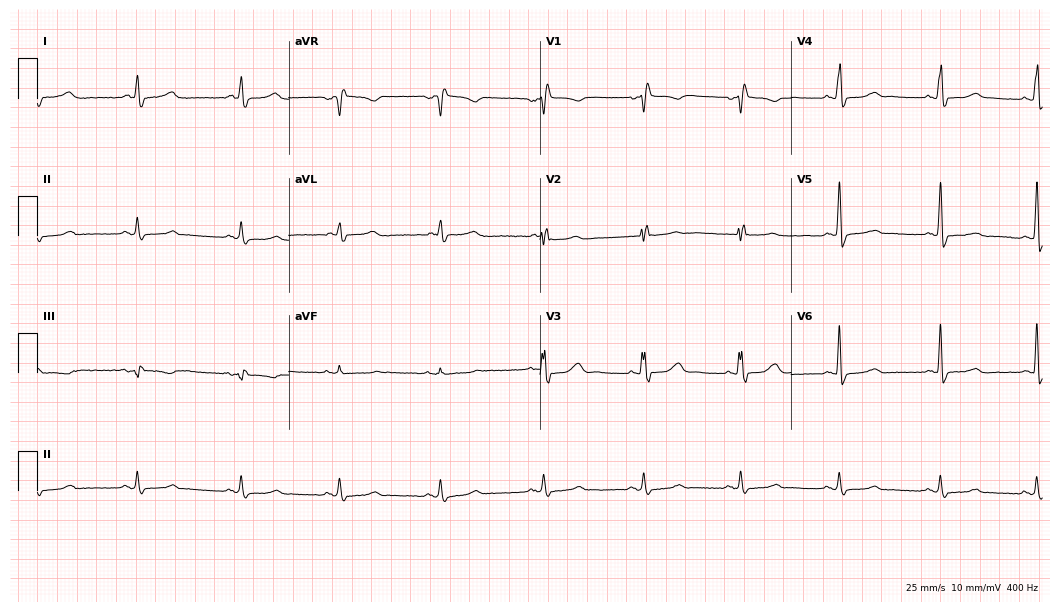
12-lead ECG from a 56-year-old woman. Findings include right bundle branch block.